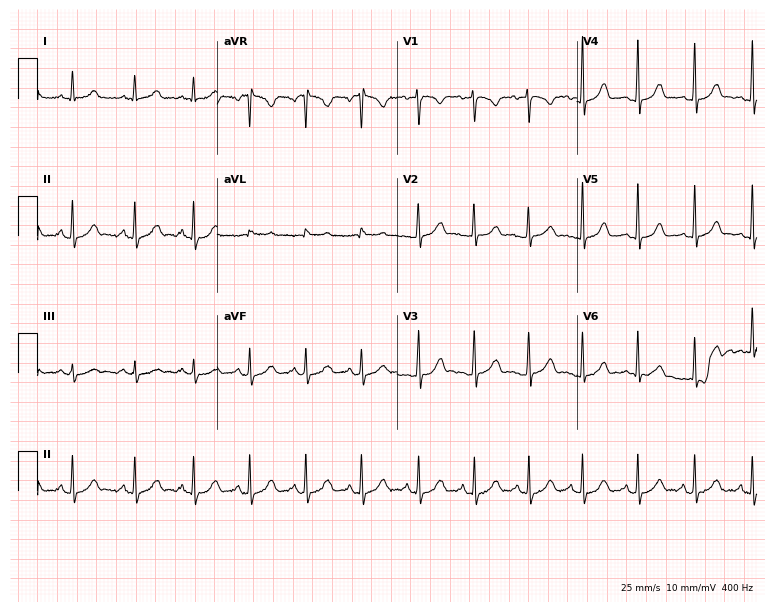
12-lead ECG from a 39-year-old female. Findings include sinus tachycardia (a sinus rate of 100 beats per minute or more).